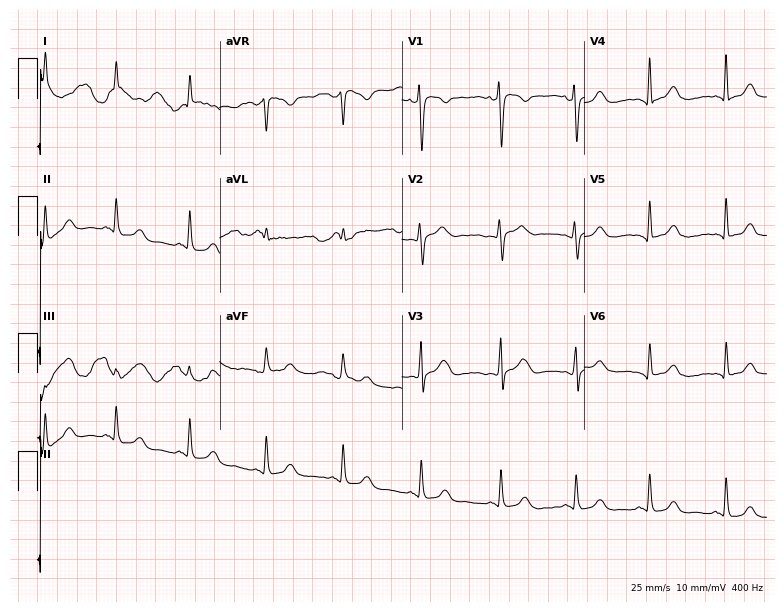
12-lead ECG from a 42-year-old woman. No first-degree AV block, right bundle branch block, left bundle branch block, sinus bradycardia, atrial fibrillation or sinus tachycardia recorded for this tracing. Other findings, if any, are not listed.